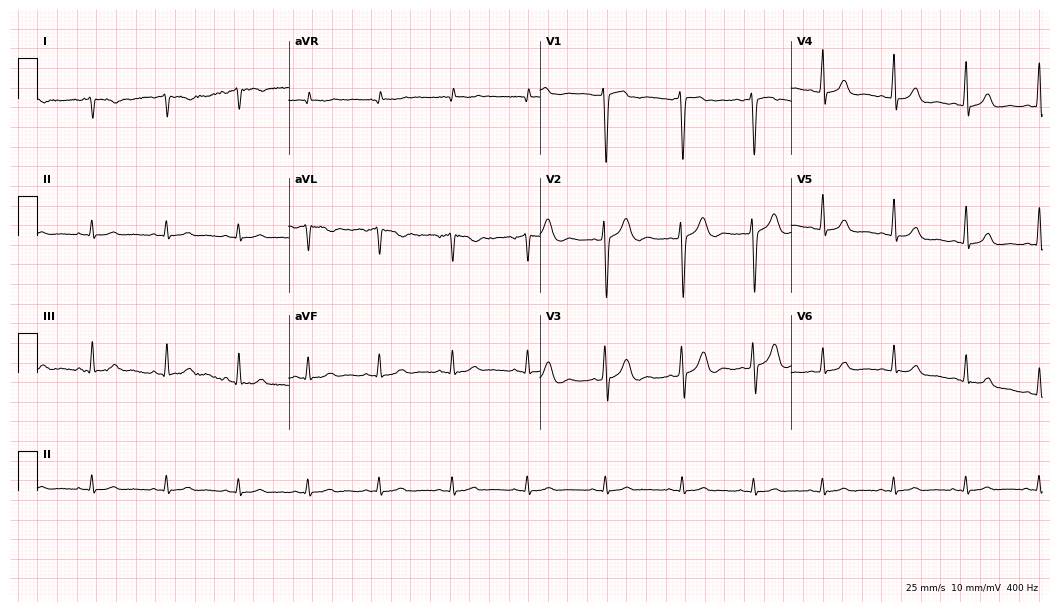
12-lead ECG from a woman, 45 years old. Screened for six findings — first-degree AV block, right bundle branch block, left bundle branch block, sinus bradycardia, atrial fibrillation, sinus tachycardia — none is recorded.